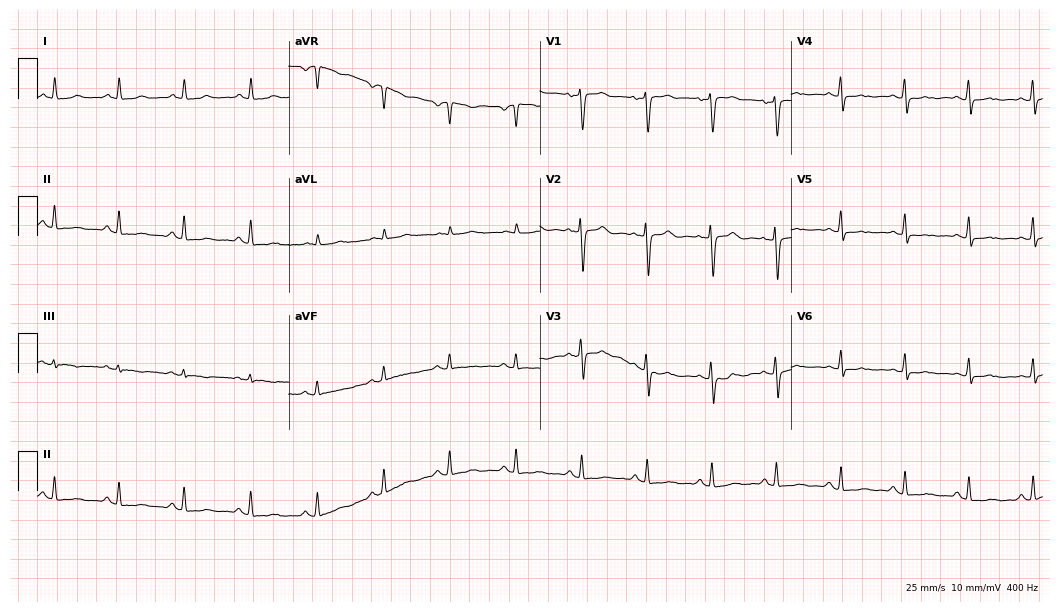
12-lead ECG (10.2-second recording at 400 Hz) from a 51-year-old woman. Labelled as a normal ECG.